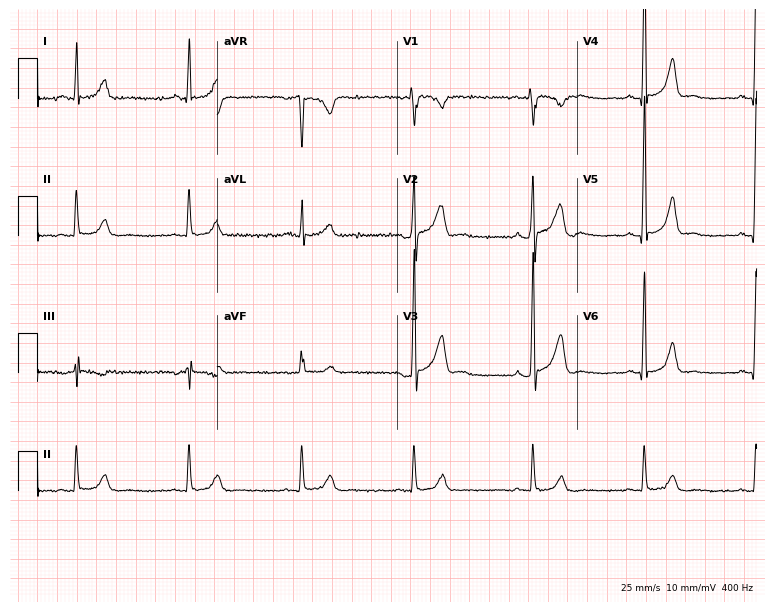
ECG (7.3-second recording at 400 Hz) — a 51-year-old male. Labelled as a normal ECG.